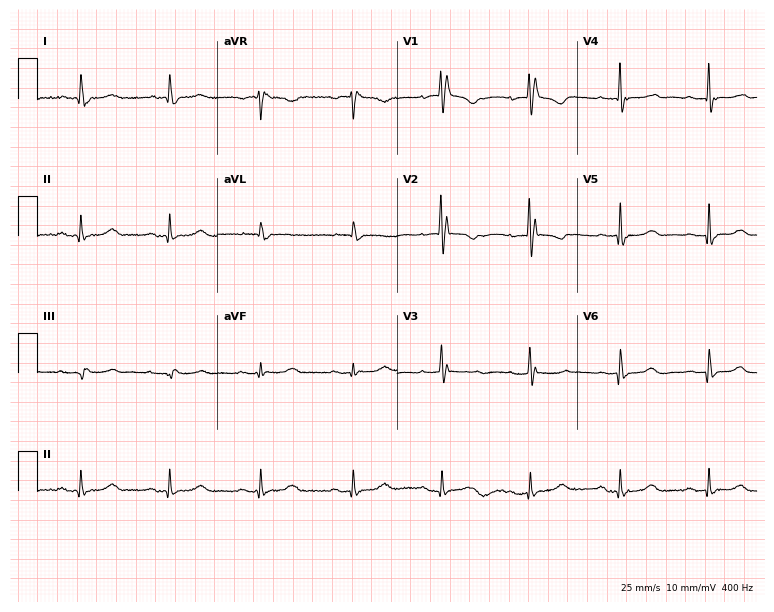
Electrocardiogram, a 70-year-old woman. Of the six screened findings (first-degree AV block, right bundle branch block (RBBB), left bundle branch block (LBBB), sinus bradycardia, atrial fibrillation (AF), sinus tachycardia), none is recorded. Findings outside these six are not listed.